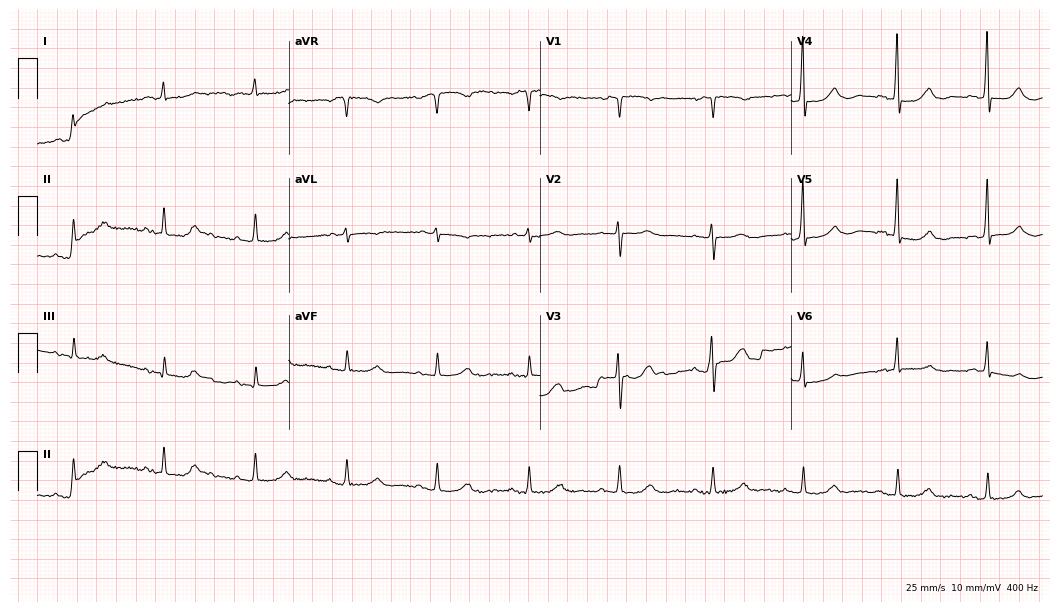
12-lead ECG (10.2-second recording at 400 Hz) from an 83-year-old female patient. Screened for six findings — first-degree AV block, right bundle branch block, left bundle branch block, sinus bradycardia, atrial fibrillation, sinus tachycardia — none is recorded. Findings outside these six are not listed.